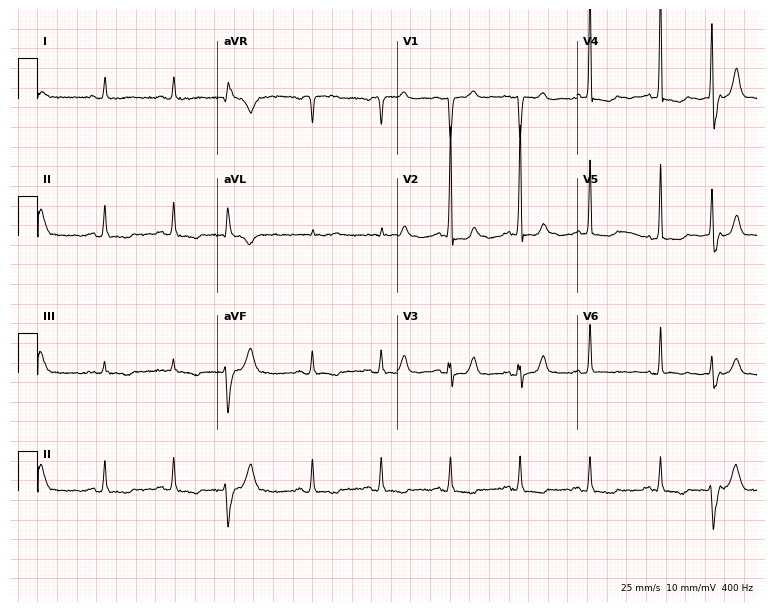
Electrocardiogram (7.3-second recording at 400 Hz), a woman, 81 years old. Of the six screened findings (first-degree AV block, right bundle branch block, left bundle branch block, sinus bradycardia, atrial fibrillation, sinus tachycardia), none is recorded.